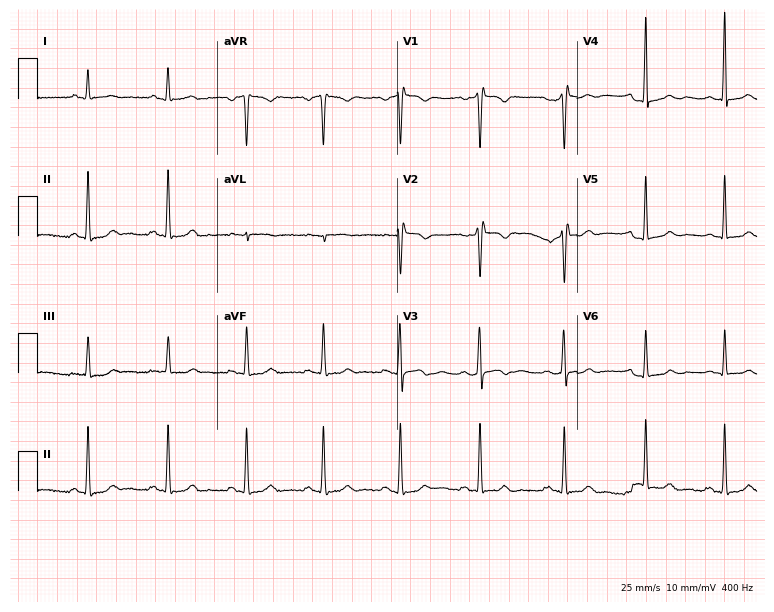
12-lead ECG from a female patient, 33 years old. No first-degree AV block, right bundle branch block, left bundle branch block, sinus bradycardia, atrial fibrillation or sinus tachycardia recorded for this tracing. Findings outside these six are not listed.